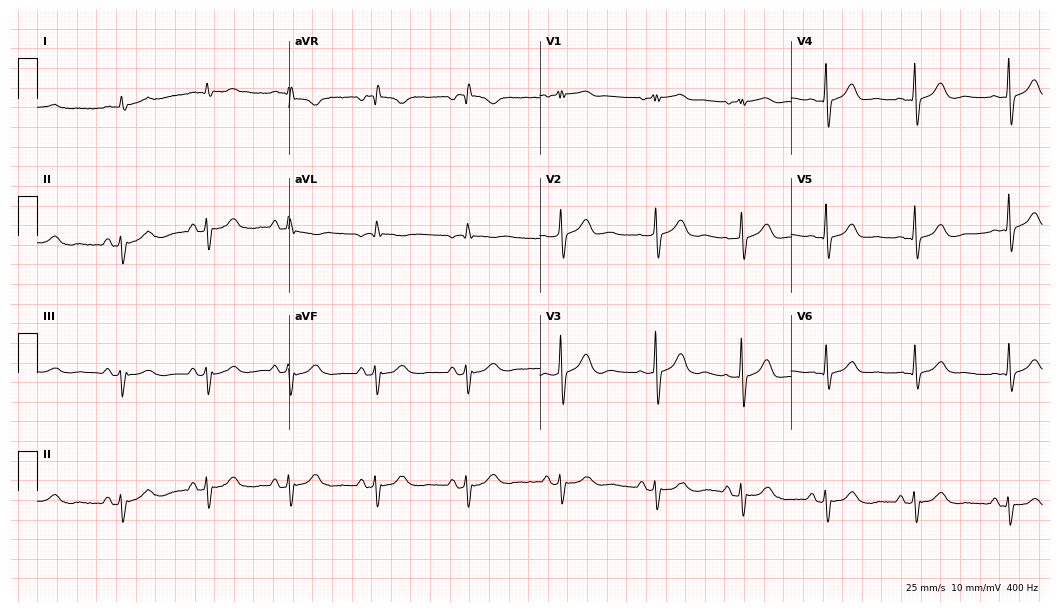
ECG — a 76-year-old man. Screened for six findings — first-degree AV block, right bundle branch block (RBBB), left bundle branch block (LBBB), sinus bradycardia, atrial fibrillation (AF), sinus tachycardia — none is recorded. Other findings, if any, are not listed.